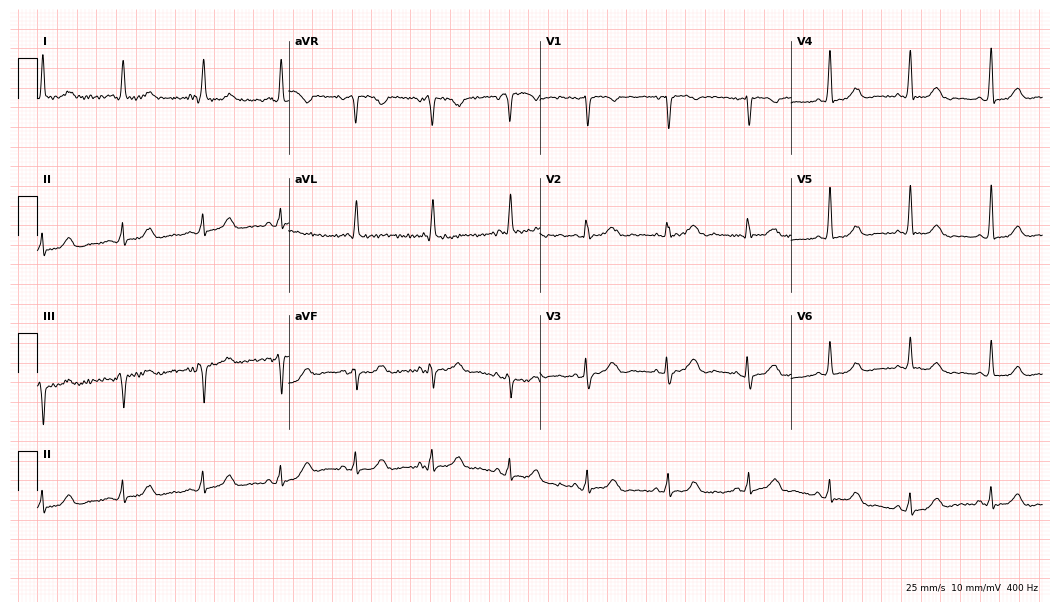
12-lead ECG from a 77-year-old woman. Screened for six findings — first-degree AV block, right bundle branch block (RBBB), left bundle branch block (LBBB), sinus bradycardia, atrial fibrillation (AF), sinus tachycardia — none is recorded. Findings outside these six are not listed.